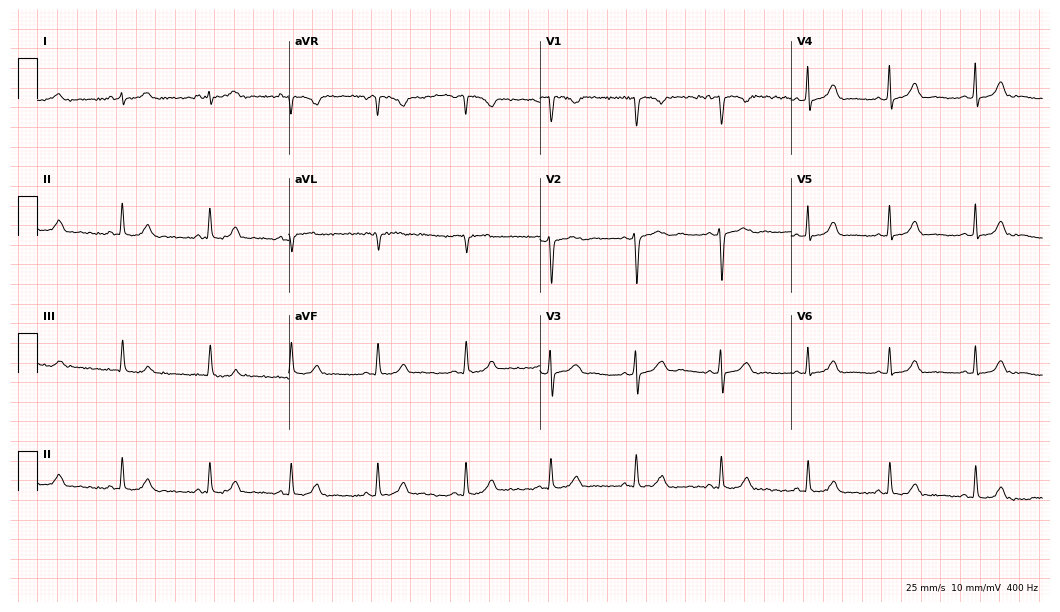
Standard 12-lead ECG recorded from a female, 25 years old (10.2-second recording at 400 Hz). Read as a normal ECG.